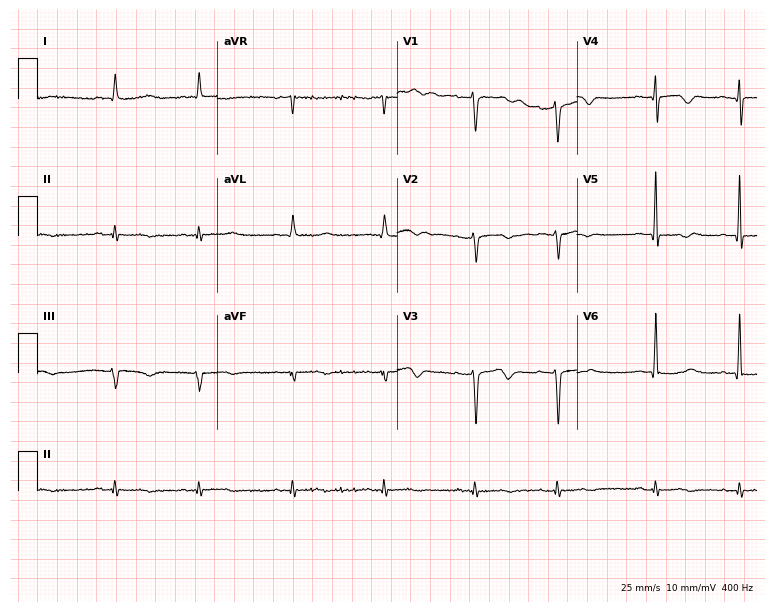
Resting 12-lead electrocardiogram (7.3-second recording at 400 Hz). Patient: a man, 80 years old. None of these six findings is recorded: first-degree AV block, right bundle branch block (RBBB), left bundle branch block (LBBB), sinus bradycardia, atrial fibrillation (AF), sinus tachycardia. Findings outside these six are not listed.